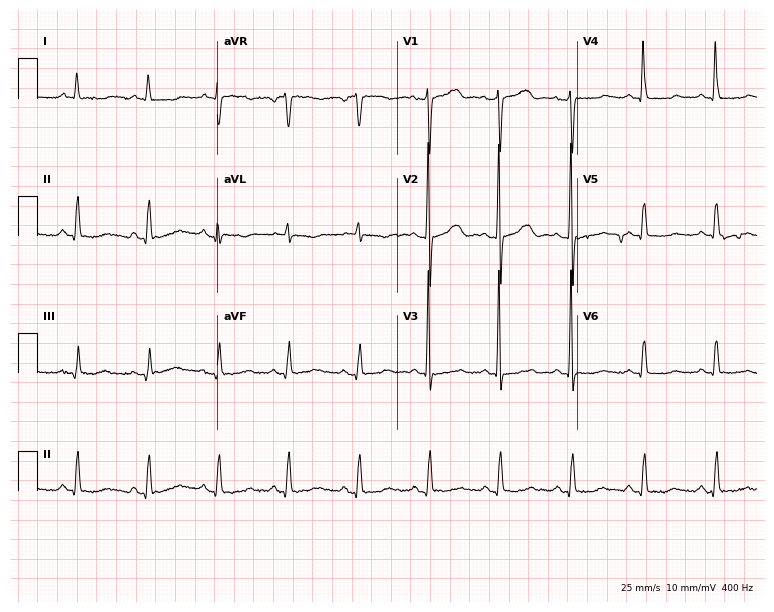
Resting 12-lead electrocardiogram. Patient: an 86-year-old female. None of these six findings is recorded: first-degree AV block, right bundle branch block, left bundle branch block, sinus bradycardia, atrial fibrillation, sinus tachycardia.